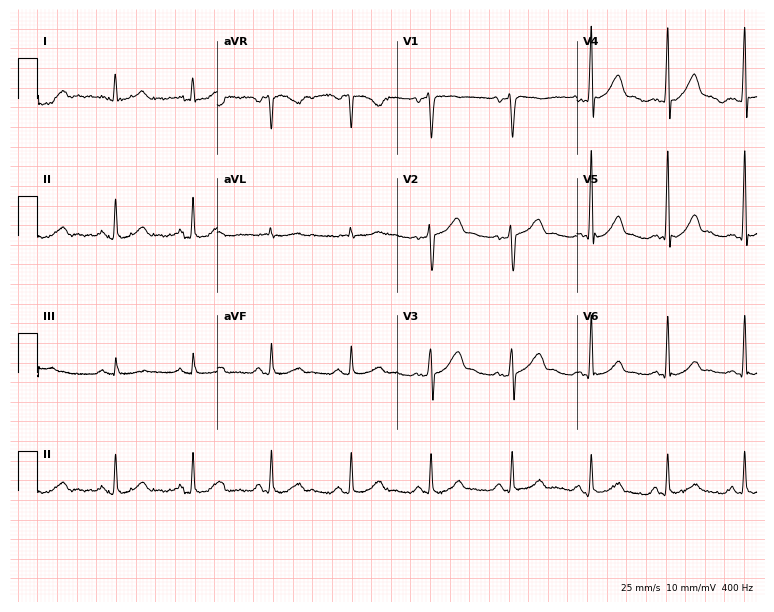
ECG — a man, 53 years old. Labelled as a normal ECG.